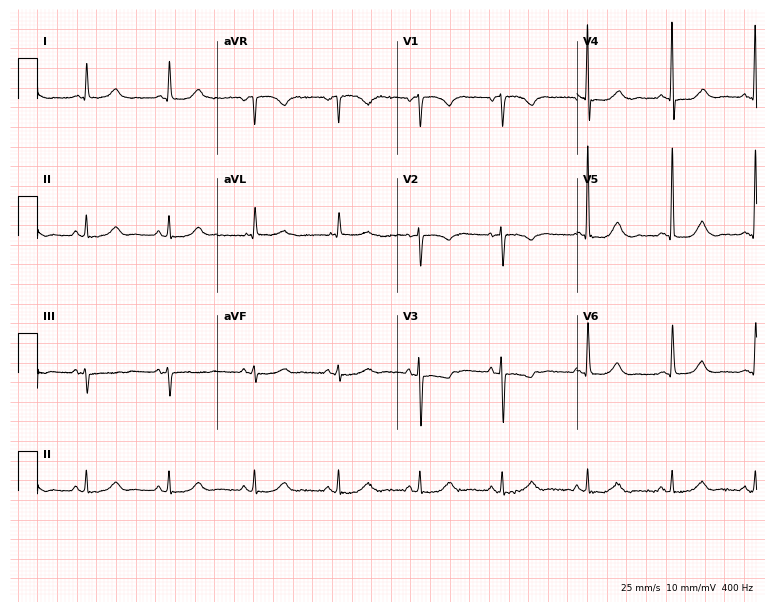
Resting 12-lead electrocardiogram. Patient: a 79-year-old woman. None of these six findings is recorded: first-degree AV block, right bundle branch block (RBBB), left bundle branch block (LBBB), sinus bradycardia, atrial fibrillation (AF), sinus tachycardia. Only these six findings were labelled.